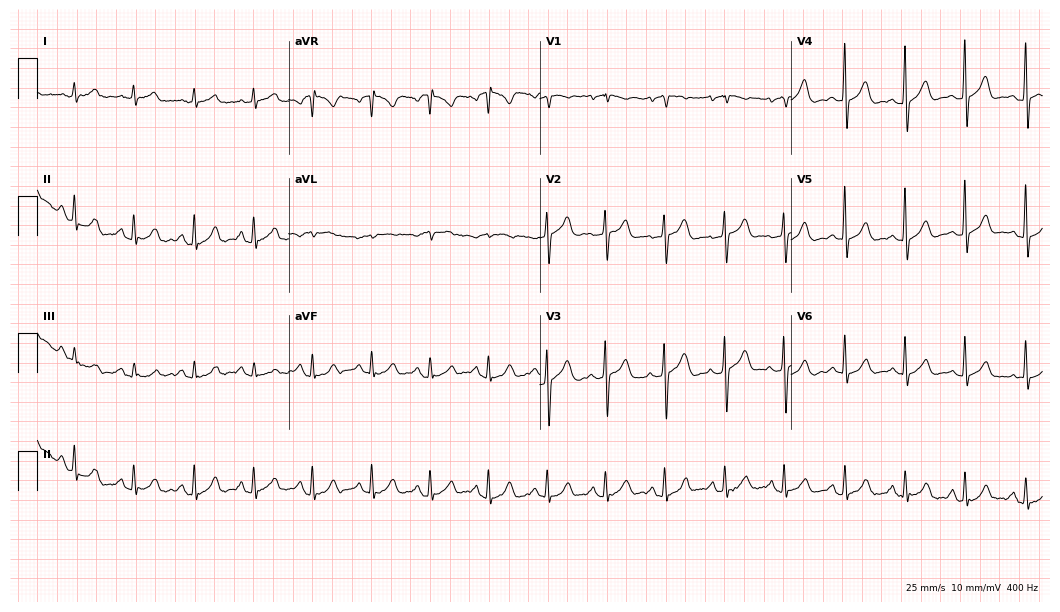
Electrocardiogram, a female patient, 84 years old. Of the six screened findings (first-degree AV block, right bundle branch block, left bundle branch block, sinus bradycardia, atrial fibrillation, sinus tachycardia), none is recorded. Findings outside these six are not listed.